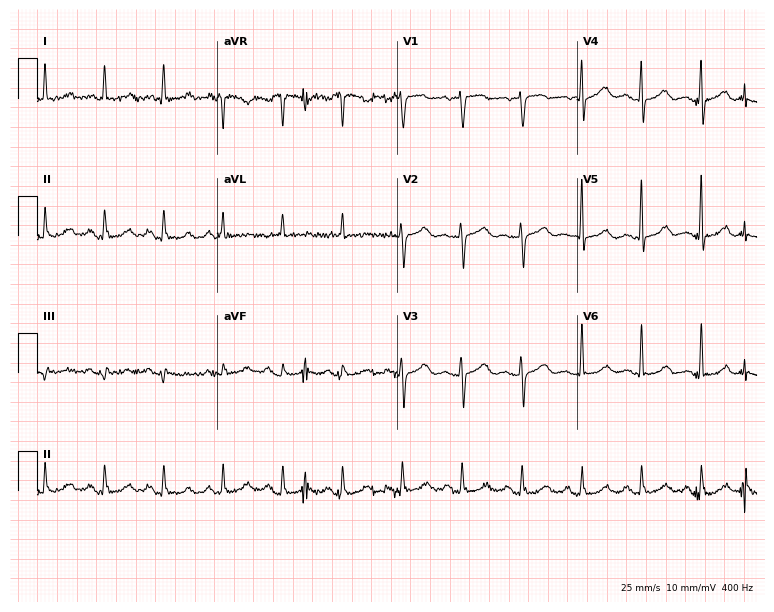
12-lead ECG from an 82-year-old woman. Screened for six findings — first-degree AV block, right bundle branch block, left bundle branch block, sinus bradycardia, atrial fibrillation, sinus tachycardia — none is recorded.